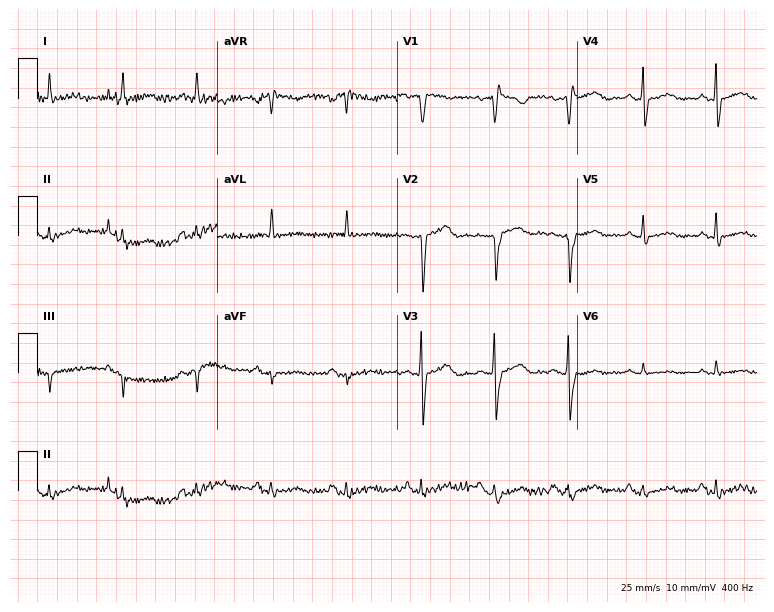
ECG — a female, 65 years old. Screened for six findings — first-degree AV block, right bundle branch block (RBBB), left bundle branch block (LBBB), sinus bradycardia, atrial fibrillation (AF), sinus tachycardia — none is recorded. Other findings, if any, are not listed.